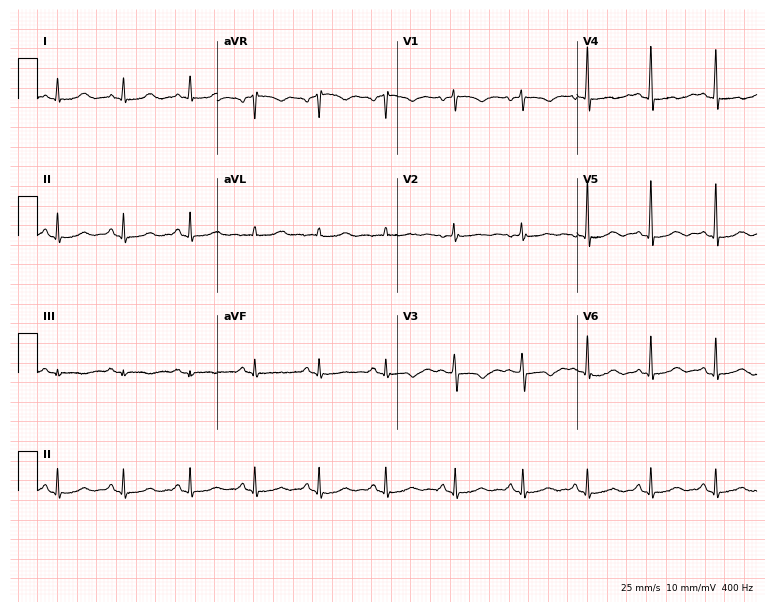
ECG (7.3-second recording at 400 Hz) — a 60-year-old female patient. Labelled as a normal ECG.